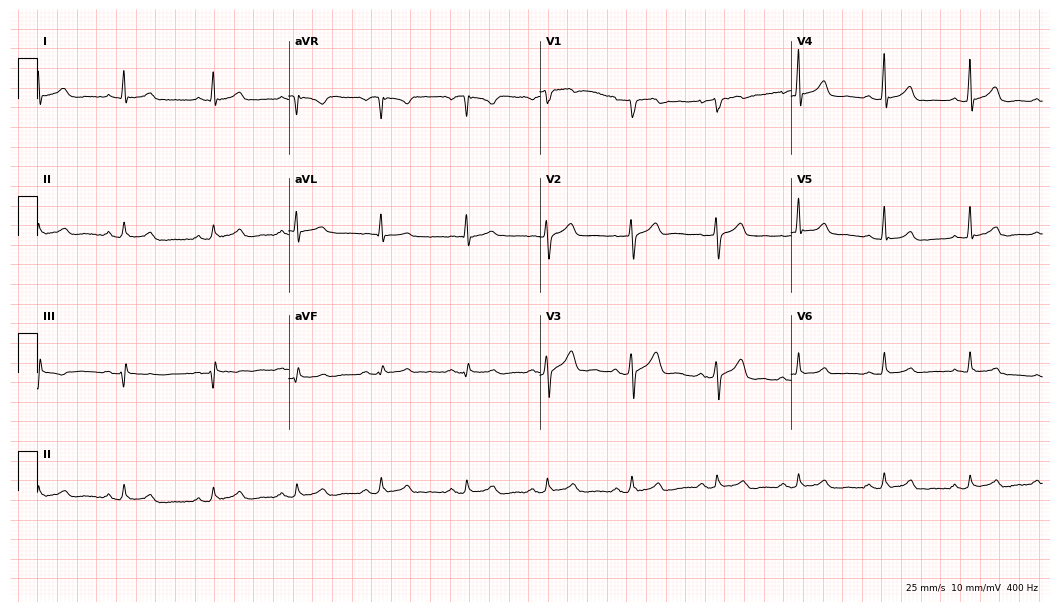
12-lead ECG (10.2-second recording at 400 Hz) from a 39-year-old male patient. Labelled as a normal ECG.